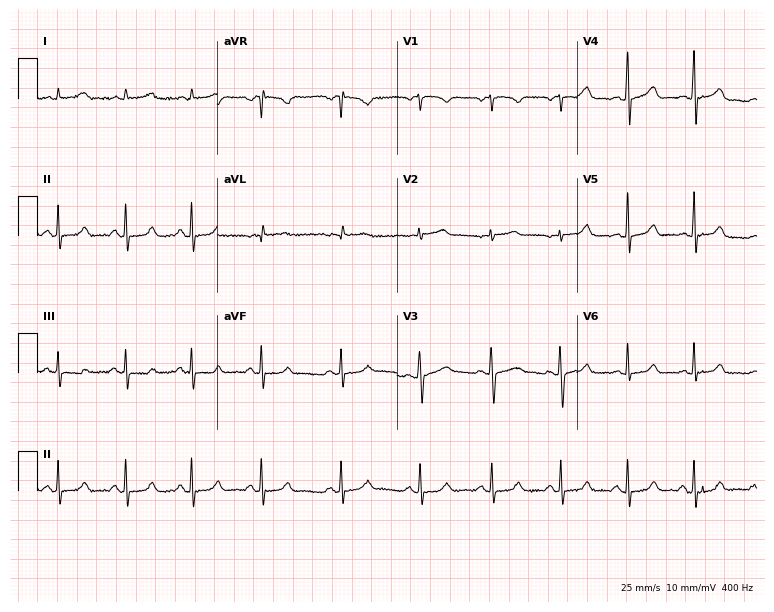
12-lead ECG (7.3-second recording at 400 Hz) from a 27-year-old female patient. Labelled as a normal ECG.